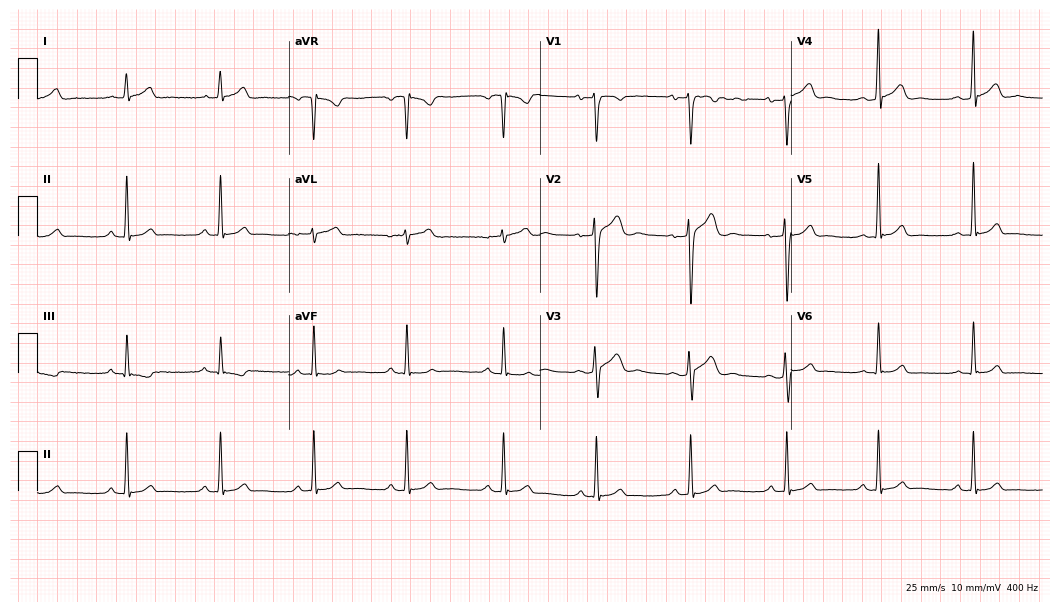
Electrocardiogram, a 25-year-old male patient. Overall reading on record: normal ECG.